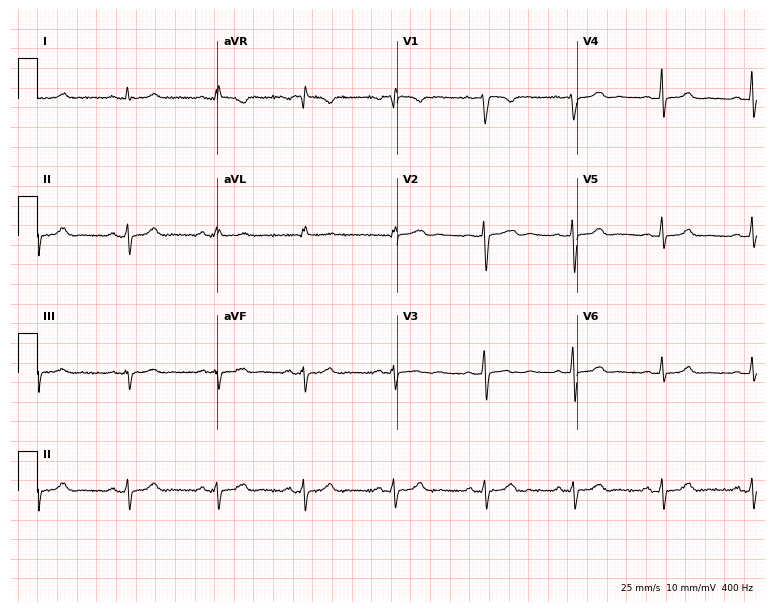
Resting 12-lead electrocardiogram (7.3-second recording at 400 Hz). Patient: a 28-year-old female. Read as a normal ECG.